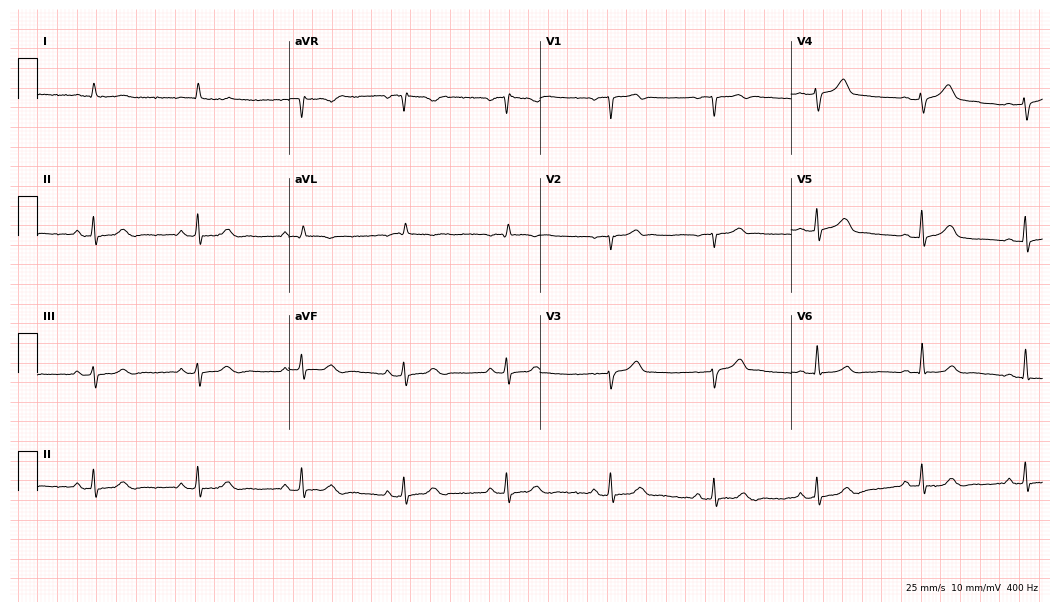
Electrocardiogram (10.2-second recording at 400 Hz), a 65-year-old male patient. Overall reading on record: normal ECG.